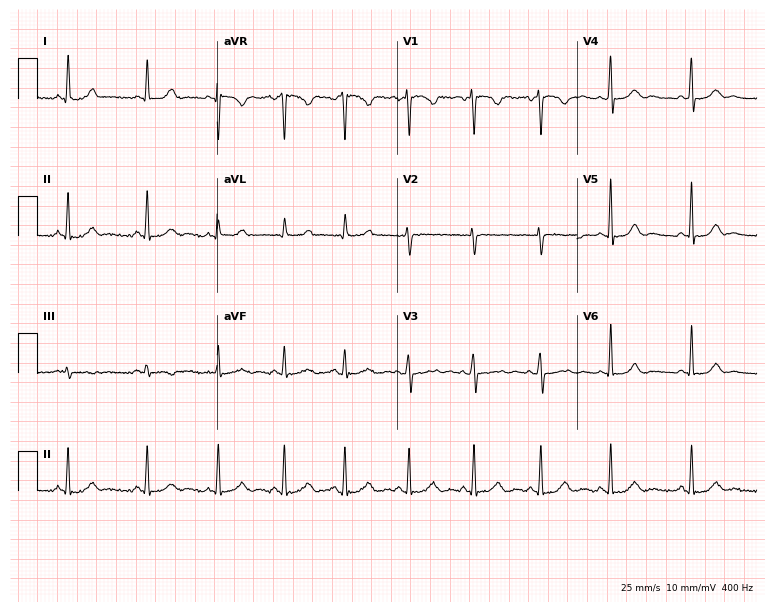
Electrocardiogram (7.3-second recording at 400 Hz), a 43-year-old female. Overall reading on record: normal ECG.